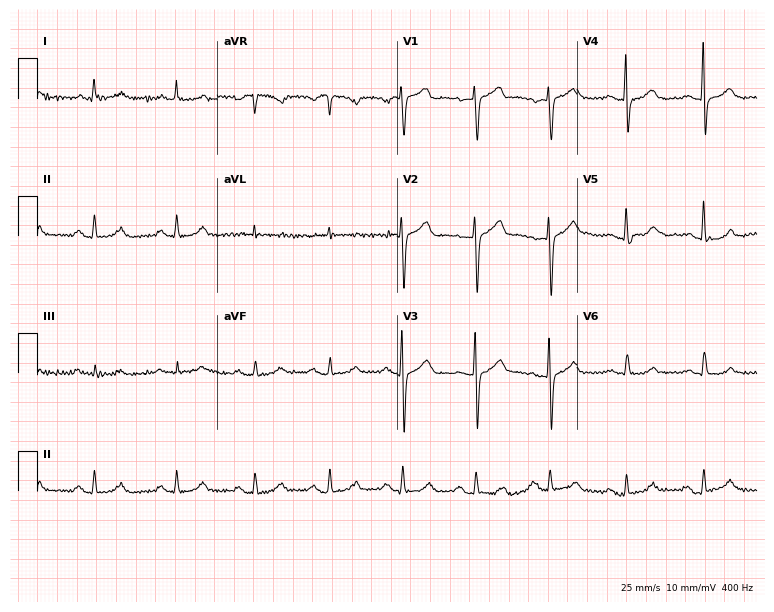
12-lead ECG (7.3-second recording at 400 Hz) from an 80-year-old woman. Screened for six findings — first-degree AV block, right bundle branch block (RBBB), left bundle branch block (LBBB), sinus bradycardia, atrial fibrillation (AF), sinus tachycardia — none is recorded. Other findings, if any, are not listed.